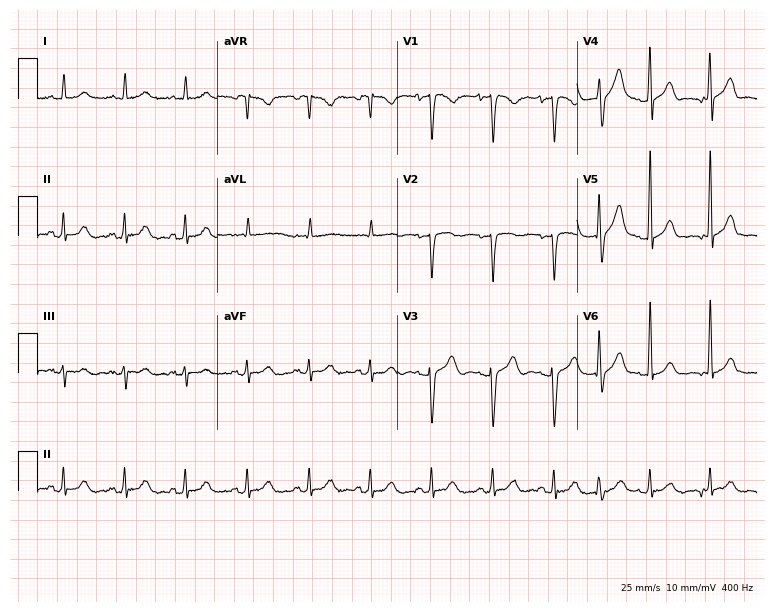
Standard 12-lead ECG recorded from a female patient, 82 years old. Read as a normal ECG.